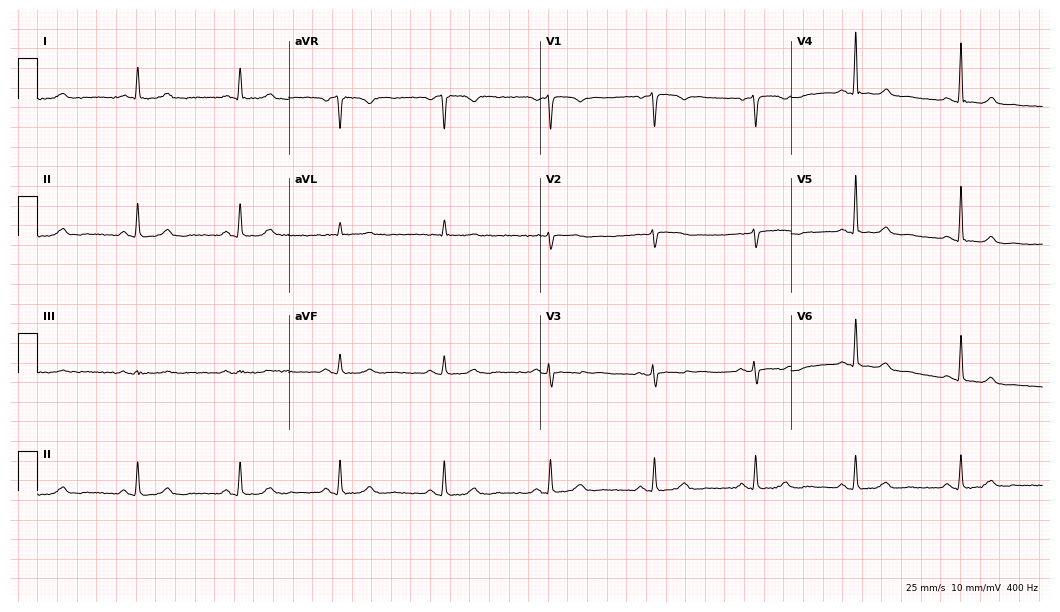
Electrocardiogram (10.2-second recording at 400 Hz), a female, 68 years old. Overall reading on record: normal ECG.